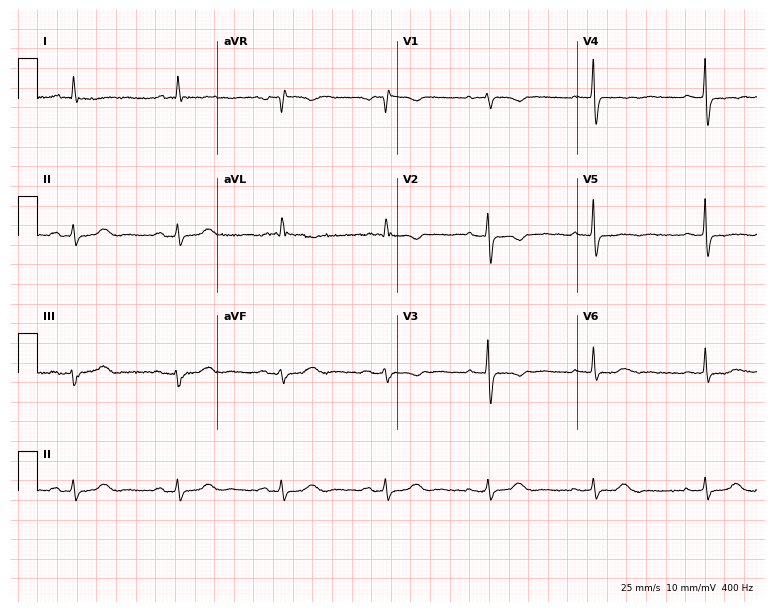
Electrocardiogram, a female patient, 62 years old. Of the six screened findings (first-degree AV block, right bundle branch block, left bundle branch block, sinus bradycardia, atrial fibrillation, sinus tachycardia), none is recorded. Only these six findings were labelled.